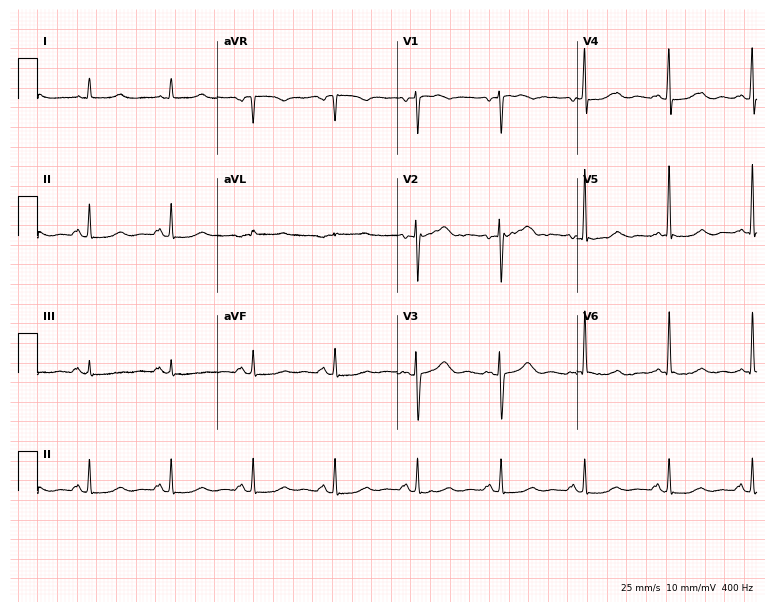
Electrocardiogram (7.3-second recording at 400 Hz), a female patient, 55 years old. Of the six screened findings (first-degree AV block, right bundle branch block, left bundle branch block, sinus bradycardia, atrial fibrillation, sinus tachycardia), none is recorded. Only these six findings were labelled.